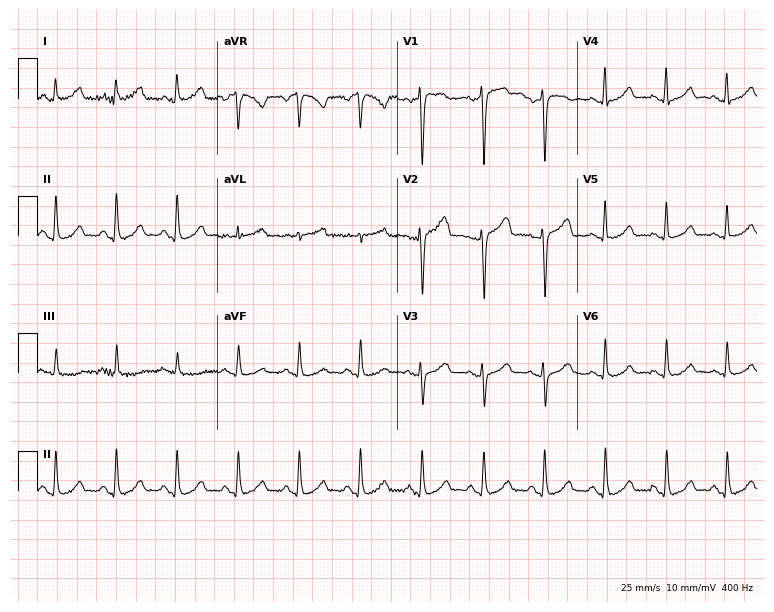
ECG — a 42-year-old female patient. Labelled as a normal ECG.